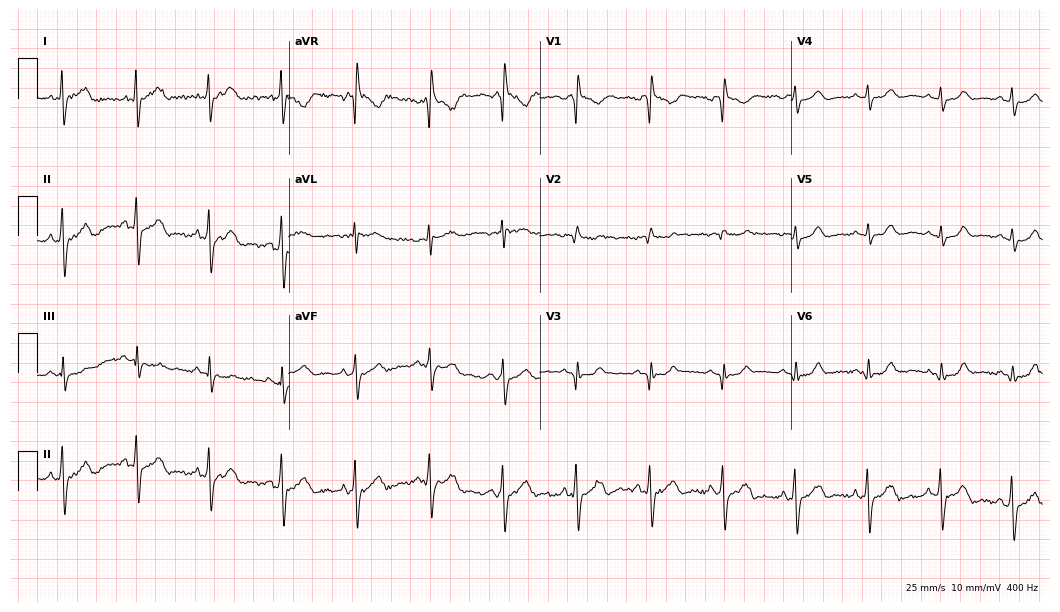
Resting 12-lead electrocardiogram. Patient: a 56-year-old man. None of these six findings is recorded: first-degree AV block, right bundle branch block, left bundle branch block, sinus bradycardia, atrial fibrillation, sinus tachycardia. Other findings, if any, are not listed.